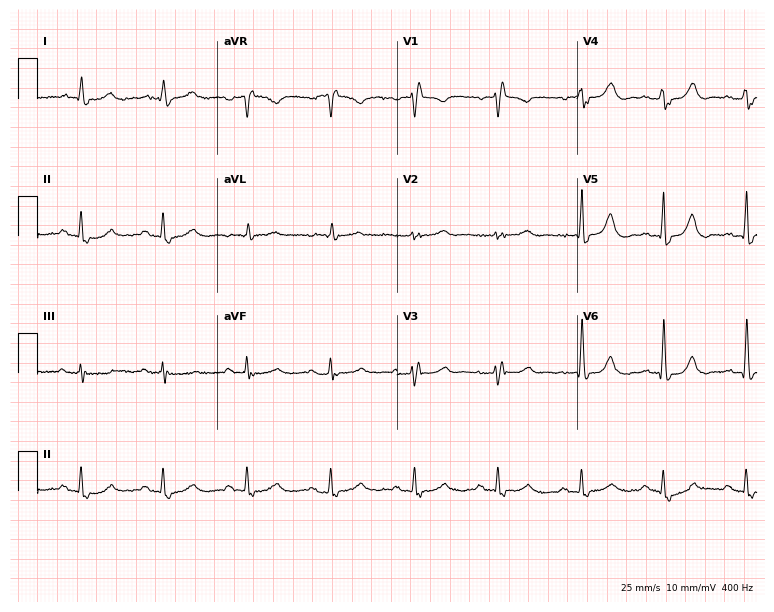
ECG — an 83-year-old female patient. Findings include right bundle branch block.